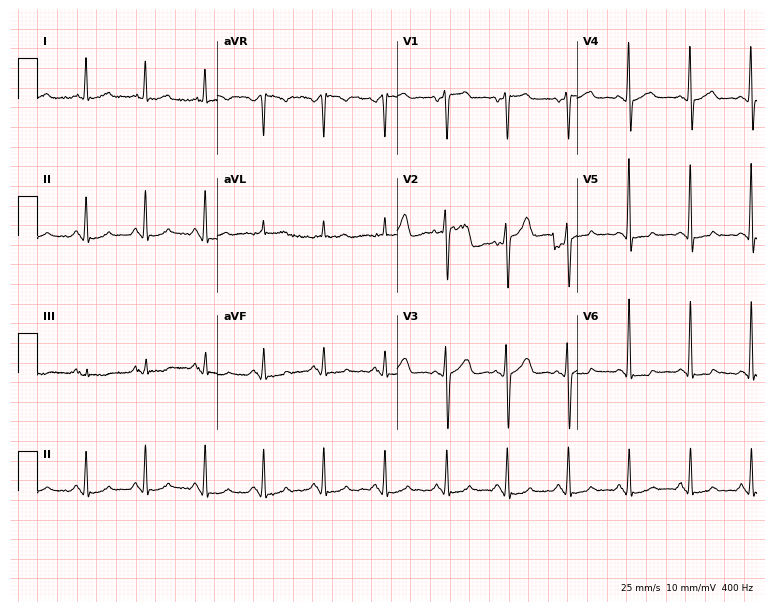
ECG — a male patient, 40 years old. Screened for six findings — first-degree AV block, right bundle branch block, left bundle branch block, sinus bradycardia, atrial fibrillation, sinus tachycardia — none is recorded.